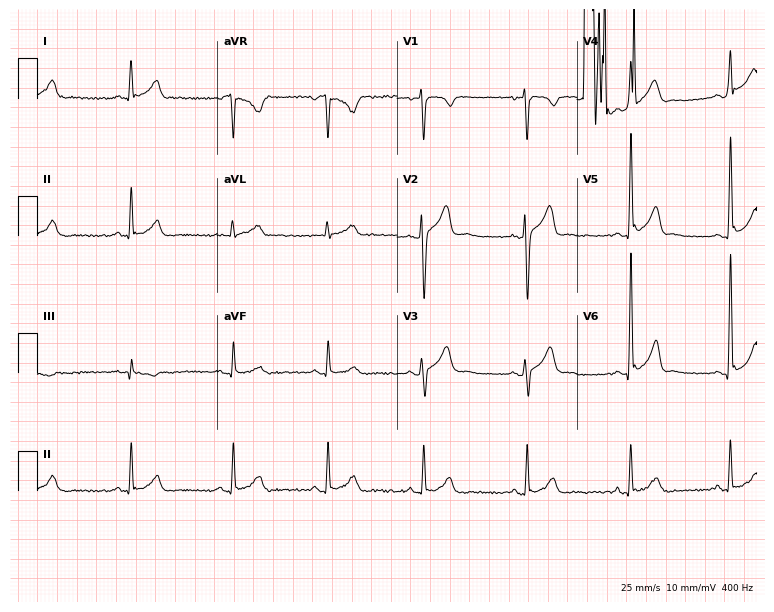
12-lead ECG from a 22-year-old man (7.3-second recording at 400 Hz). No first-degree AV block, right bundle branch block (RBBB), left bundle branch block (LBBB), sinus bradycardia, atrial fibrillation (AF) or sinus tachycardia recorded for this tracing. Other findings, if any, are not listed.